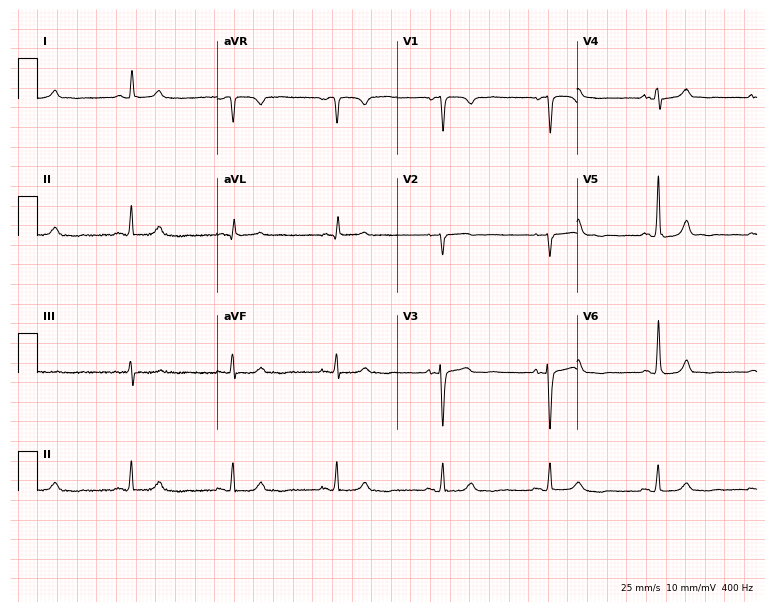
Electrocardiogram, a female patient, 67 years old. Overall reading on record: normal ECG.